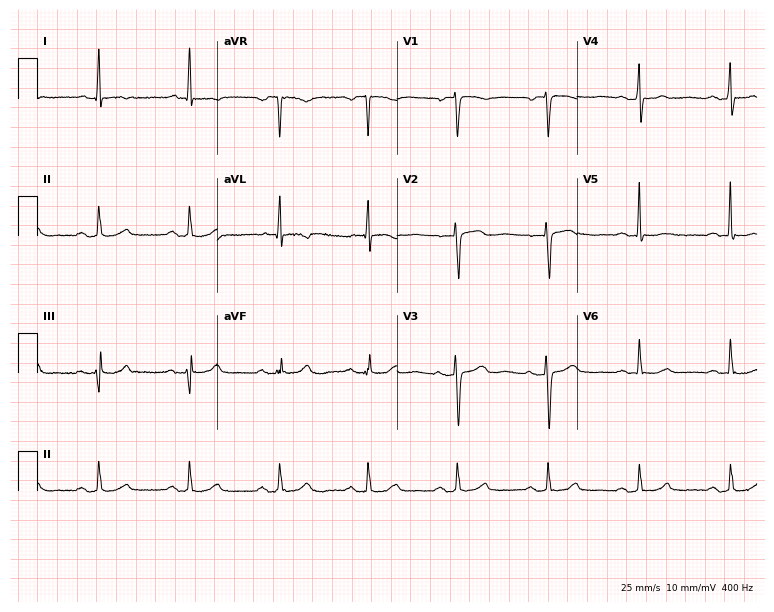
Standard 12-lead ECG recorded from a 76-year-old female patient (7.3-second recording at 400 Hz). None of these six findings is recorded: first-degree AV block, right bundle branch block (RBBB), left bundle branch block (LBBB), sinus bradycardia, atrial fibrillation (AF), sinus tachycardia. Other findings, if any, are not listed.